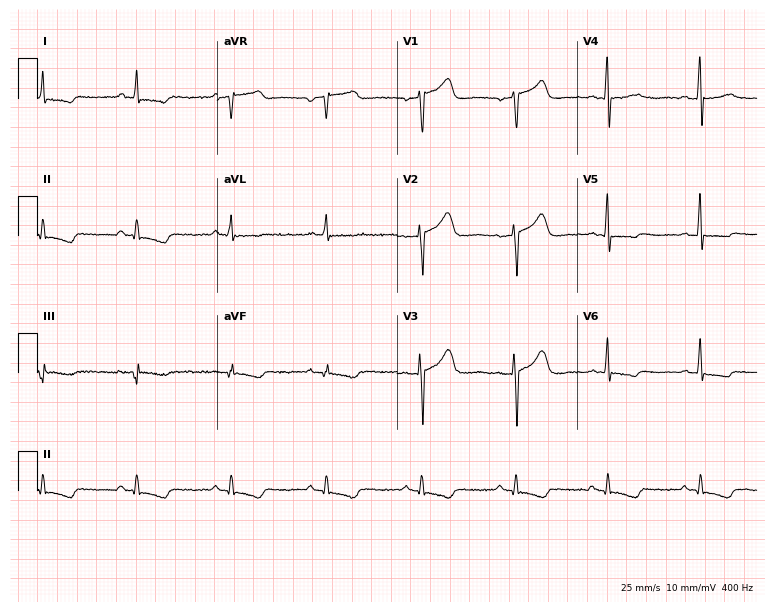
12-lead ECG from a 56-year-old man (7.3-second recording at 400 Hz). No first-degree AV block, right bundle branch block, left bundle branch block, sinus bradycardia, atrial fibrillation or sinus tachycardia recorded for this tracing. Other findings, if any, are not listed.